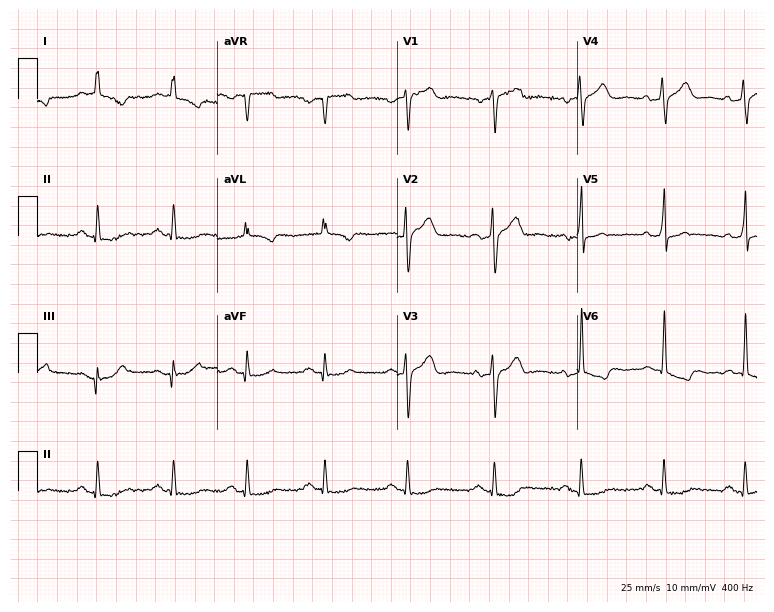
Standard 12-lead ECG recorded from a male, 65 years old (7.3-second recording at 400 Hz). None of these six findings is recorded: first-degree AV block, right bundle branch block (RBBB), left bundle branch block (LBBB), sinus bradycardia, atrial fibrillation (AF), sinus tachycardia. Other findings, if any, are not listed.